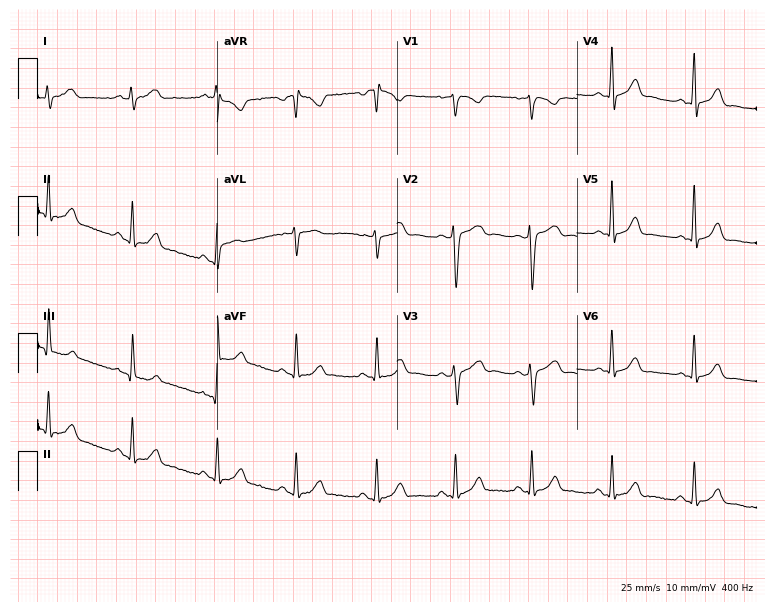
12-lead ECG (7.3-second recording at 400 Hz) from a woman, 29 years old. Screened for six findings — first-degree AV block, right bundle branch block, left bundle branch block, sinus bradycardia, atrial fibrillation, sinus tachycardia — none is recorded.